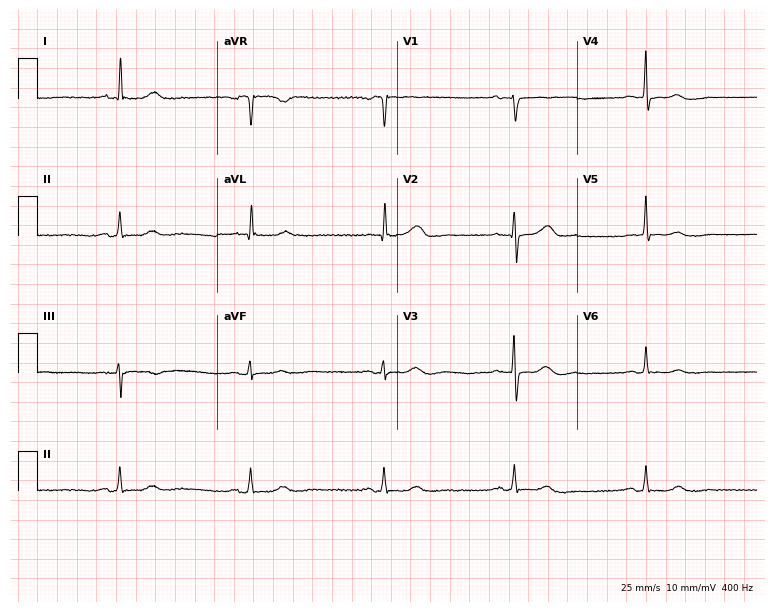
Resting 12-lead electrocardiogram. Patient: a 71-year-old female. The tracing shows sinus bradycardia (a sinus rate of 50 beats per minute or less).